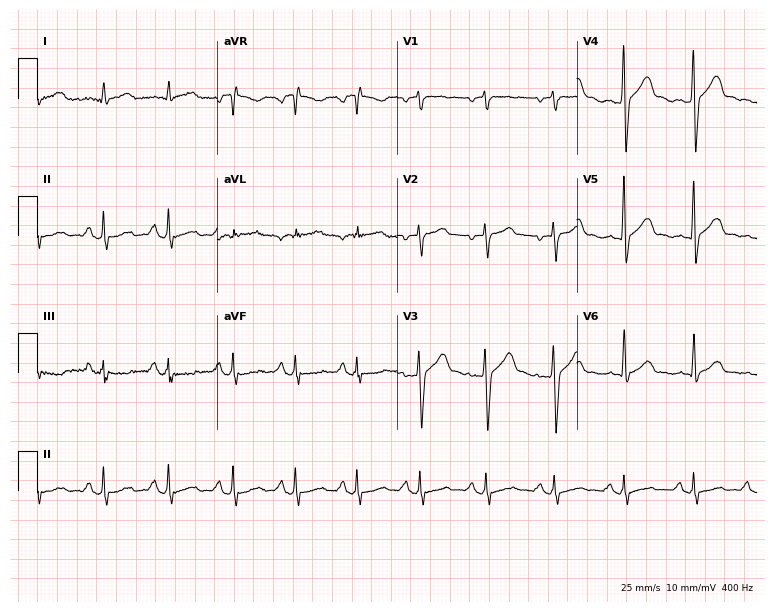
ECG (7.3-second recording at 400 Hz) — a 24-year-old male patient. Screened for six findings — first-degree AV block, right bundle branch block (RBBB), left bundle branch block (LBBB), sinus bradycardia, atrial fibrillation (AF), sinus tachycardia — none is recorded. Other findings, if any, are not listed.